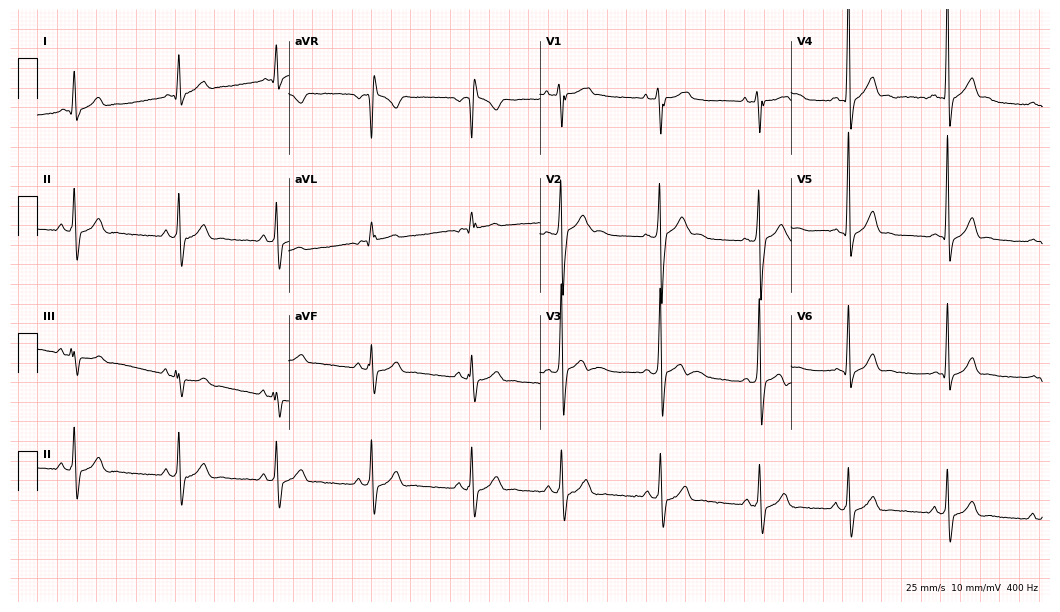
12-lead ECG from a male patient, 17 years old (10.2-second recording at 400 Hz). No first-degree AV block, right bundle branch block (RBBB), left bundle branch block (LBBB), sinus bradycardia, atrial fibrillation (AF) or sinus tachycardia recorded for this tracing.